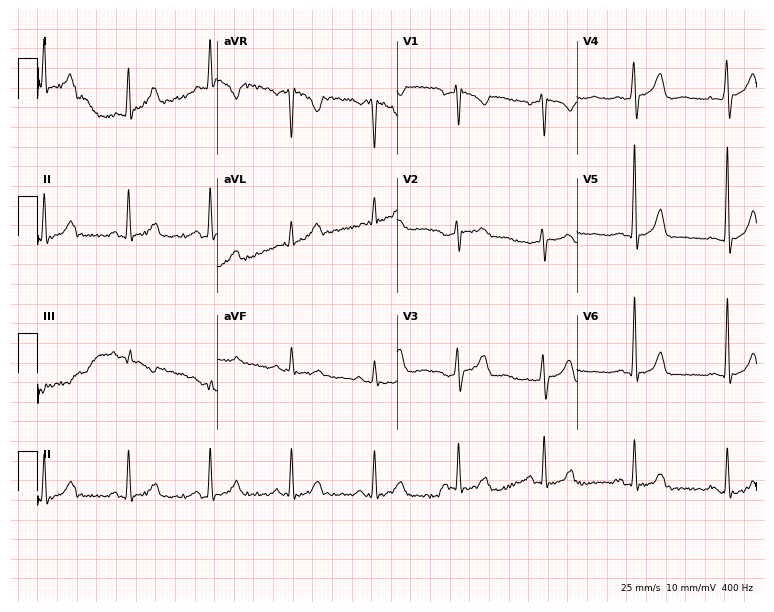
Resting 12-lead electrocardiogram (7.3-second recording at 400 Hz). Patient: a 43-year-old woman. None of these six findings is recorded: first-degree AV block, right bundle branch block, left bundle branch block, sinus bradycardia, atrial fibrillation, sinus tachycardia.